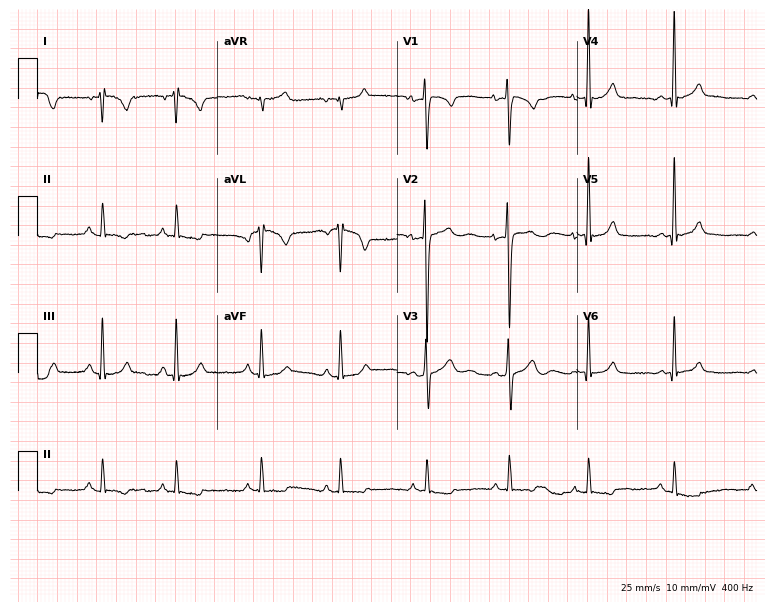
12-lead ECG from a 28-year-old man (7.3-second recording at 400 Hz). No first-degree AV block, right bundle branch block, left bundle branch block, sinus bradycardia, atrial fibrillation or sinus tachycardia recorded for this tracing. Other findings, if any, are not listed.